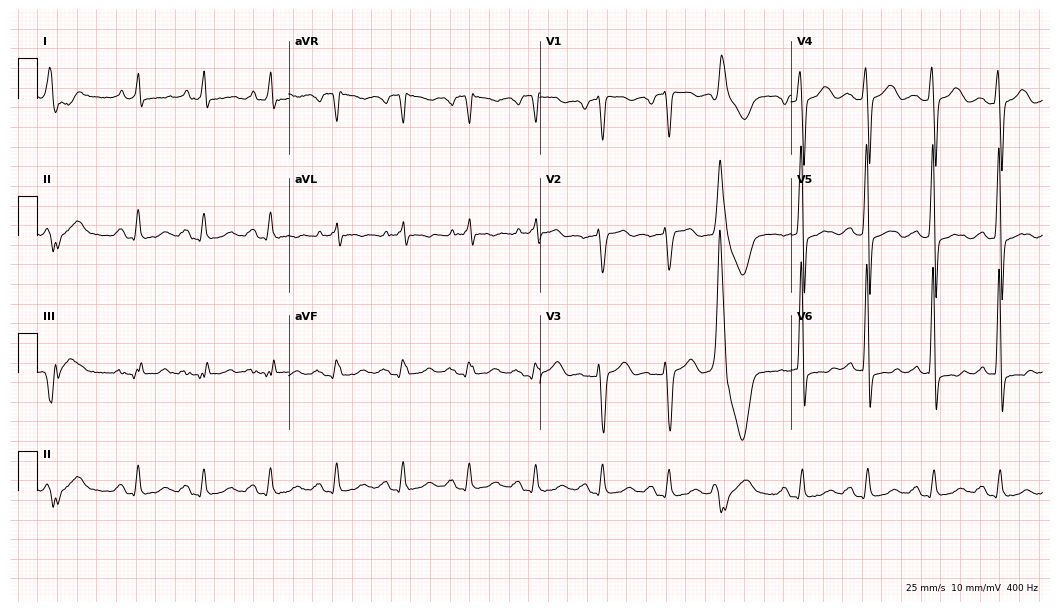
Electrocardiogram, a man, 54 years old. Of the six screened findings (first-degree AV block, right bundle branch block, left bundle branch block, sinus bradycardia, atrial fibrillation, sinus tachycardia), none is recorded. Only these six findings were labelled.